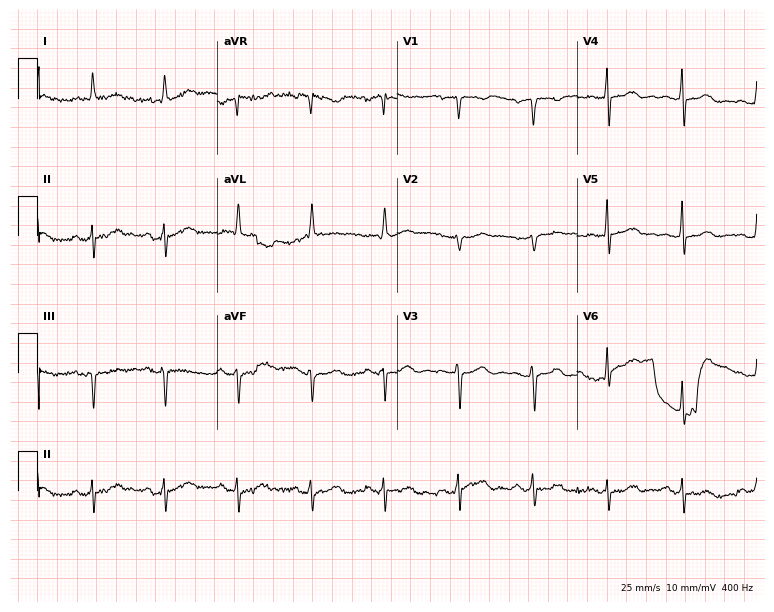
ECG — an 83-year-old female. Screened for six findings — first-degree AV block, right bundle branch block (RBBB), left bundle branch block (LBBB), sinus bradycardia, atrial fibrillation (AF), sinus tachycardia — none is recorded.